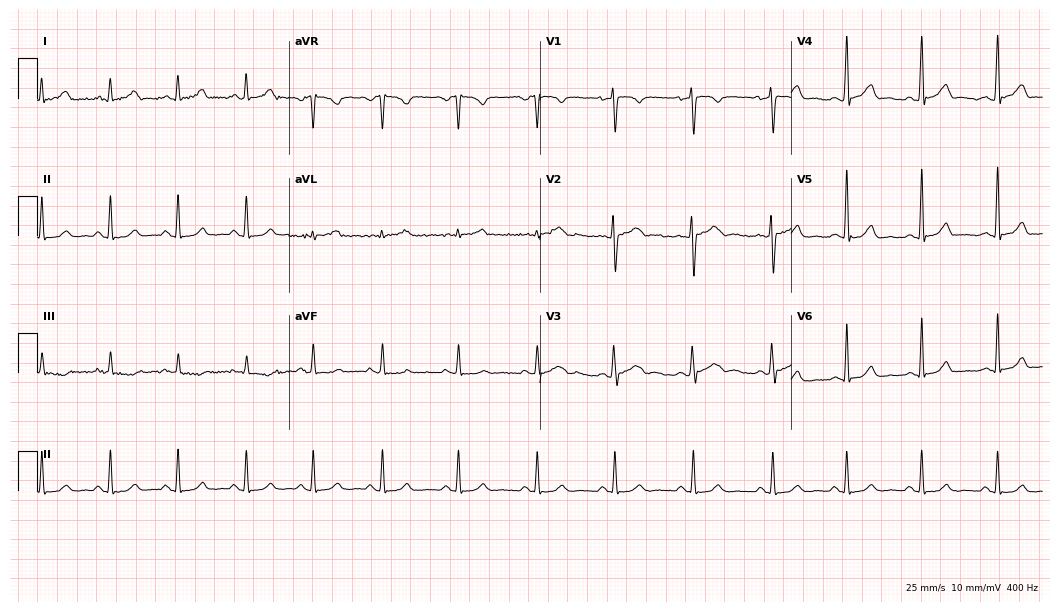
Standard 12-lead ECG recorded from a male patient, 28 years old. Read as a normal ECG.